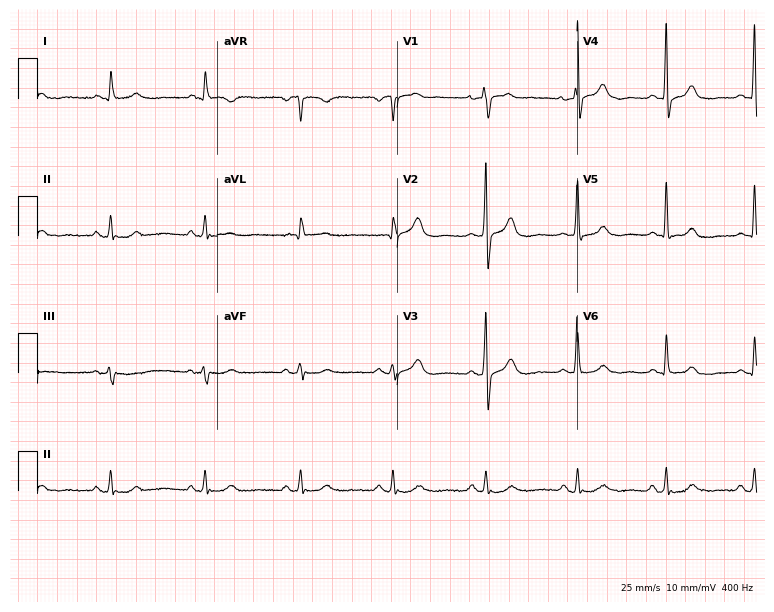
12-lead ECG (7.3-second recording at 400 Hz) from an 81-year-old male patient. Screened for six findings — first-degree AV block, right bundle branch block, left bundle branch block, sinus bradycardia, atrial fibrillation, sinus tachycardia — none is recorded. Findings outside these six are not listed.